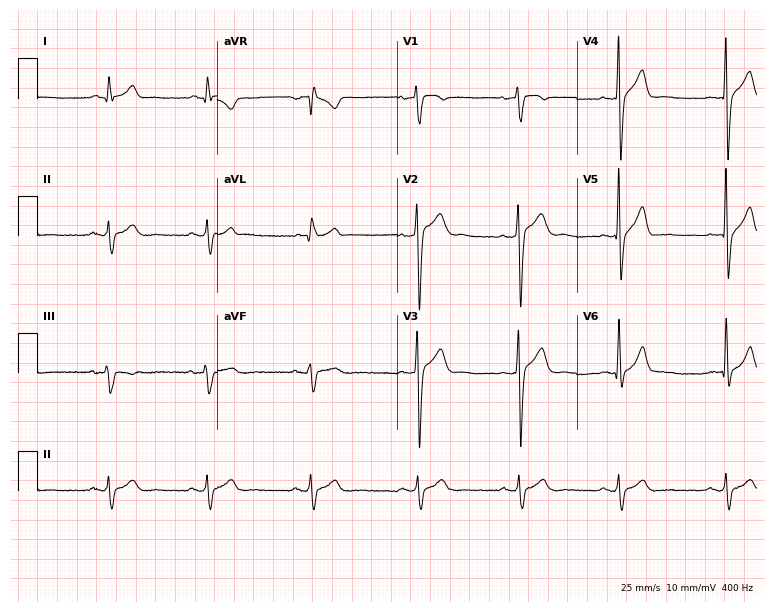
12-lead ECG from a man, 36 years old (7.3-second recording at 400 Hz). No first-degree AV block, right bundle branch block, left bundle branch block, sinus bradycardia, atrial fibrillation or sinus tachycardia recorded for this tracing. Only these six findings were labelled.